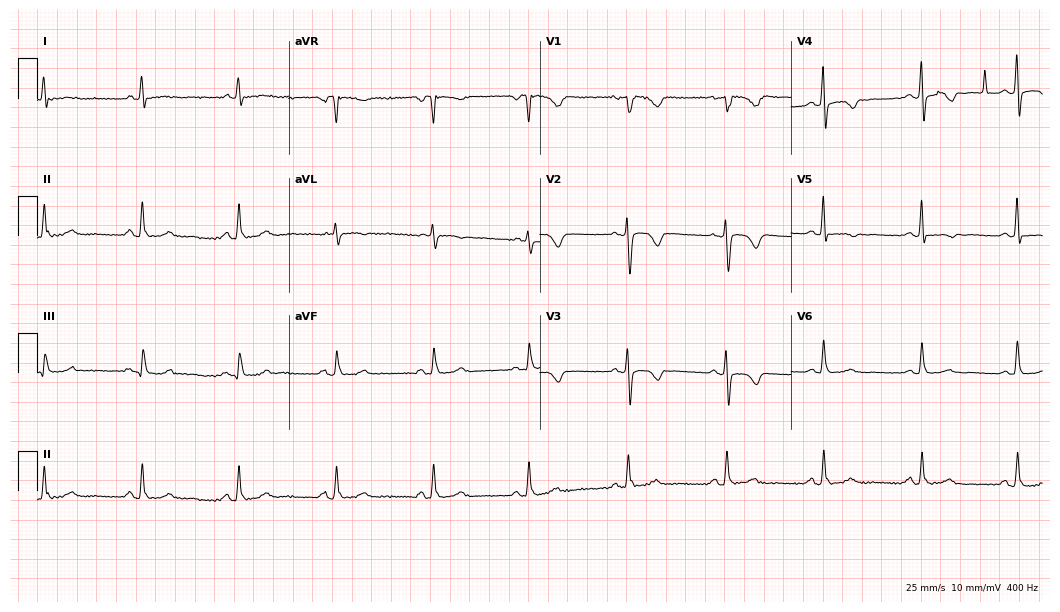
Electrocardiogram, a 55-year-old female. Of the six screened findings (first-degree AV block, right bundle branch block, left bundle branch block, sinus bradycardia, atrial fibrillation, sinus tachycardia), none is recorded.